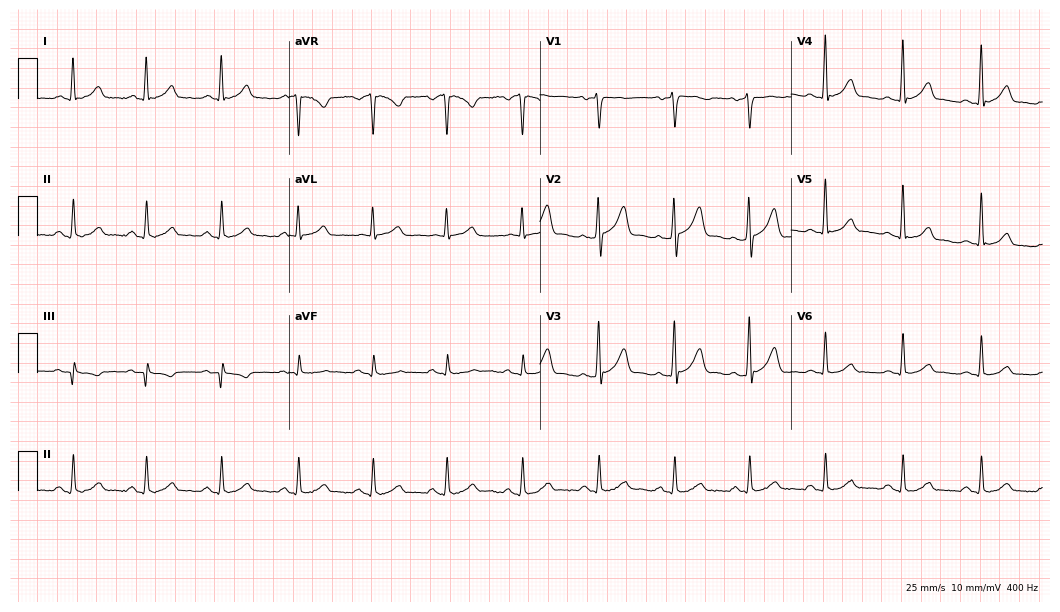
Resting 12-lead electrocardiogram. Patient: a 49-year-old male. Read as a normal ECG.